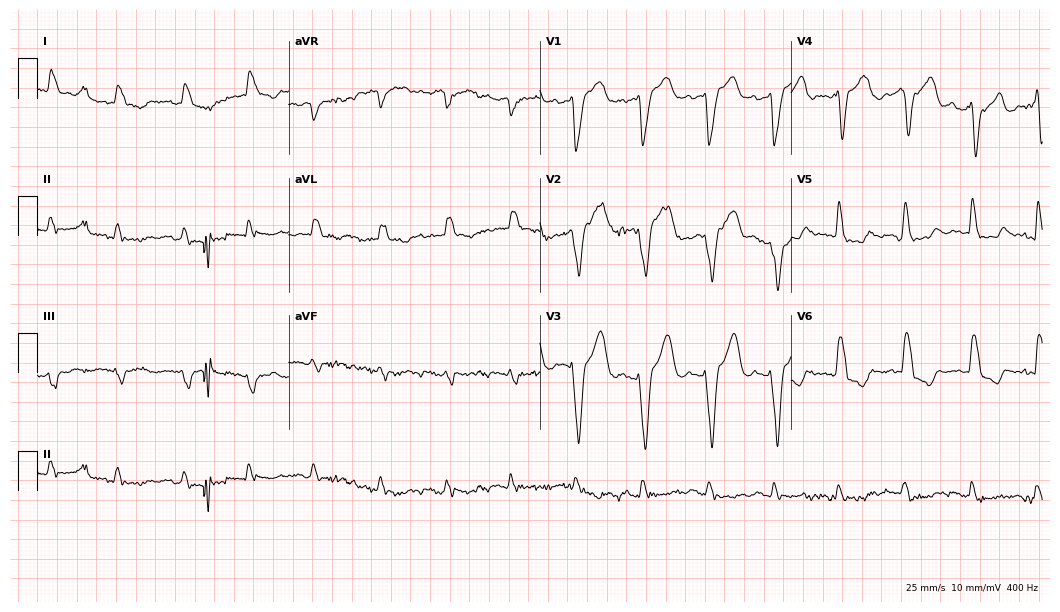
Standard 12-lead ECG recorded from a 78-year-old male patient (10.2-second recording at 400 Hz). The tracing shows left bundle branch block.